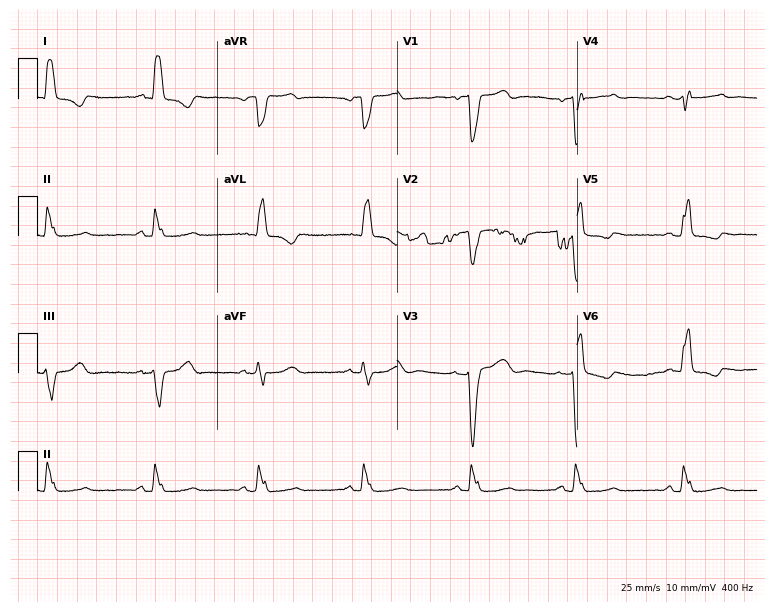
ECG — a 45-year-old female. Findings include left bundle branch block.